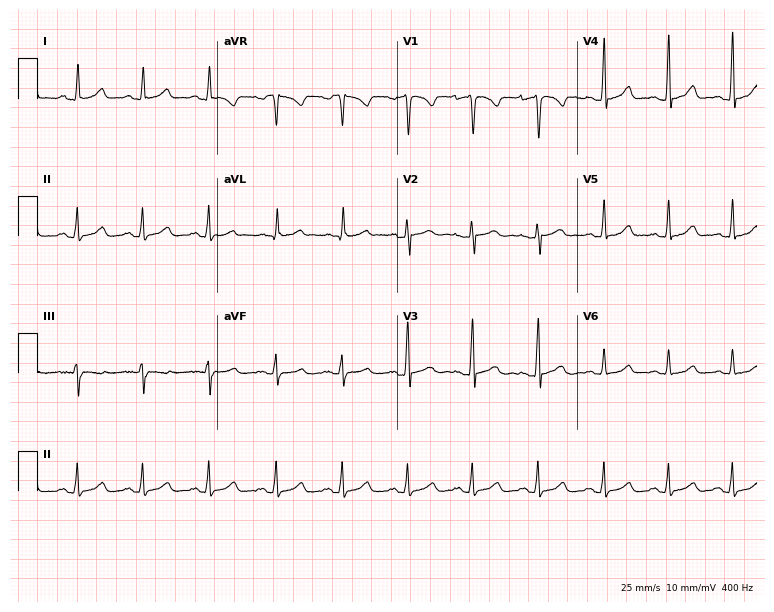
ECG — a woman, 42 years old. Labelled as a normal ECG.